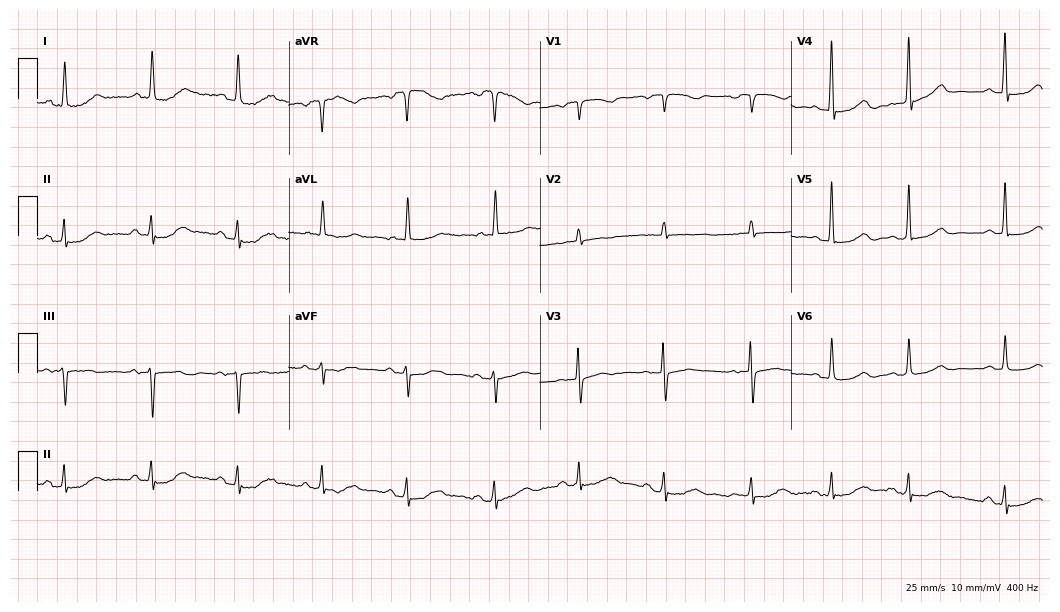
ECG — a woman, 81 years old. Screened for six findings — first-degree AV block, right bundle branch block, left bundle branch block, sinus bradycardia, atrial fibrillation, sinus tachycardia — none is recorded.